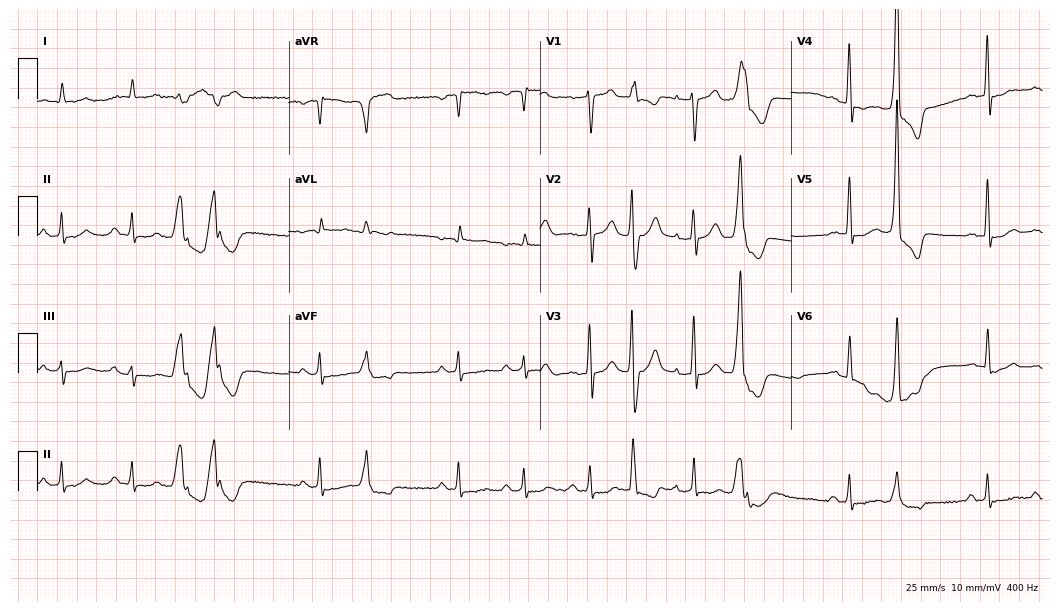
12-lead ECG from an 84-year-old man. No first-degree AV block, right bundle branch block, left bundle branch block, sinus bradycardia, atrial fibrillation or sinus tachycardia recorded for this tracing. Other findings, if any, are not listed.